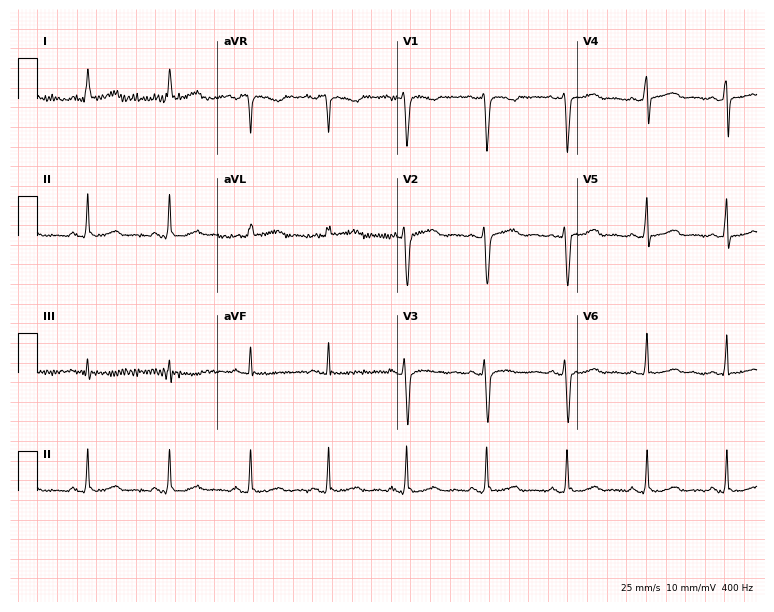
Resting 12-lead electrocardiogram (7.3-second recording at 400 Hz). Patient: a 49-year-old female. None of these six findings is recorded: first-degree AV block, right bundle branch block, left bundle branch block, sinus bradycardia, atrial fibrillation, sinus tachycardia.